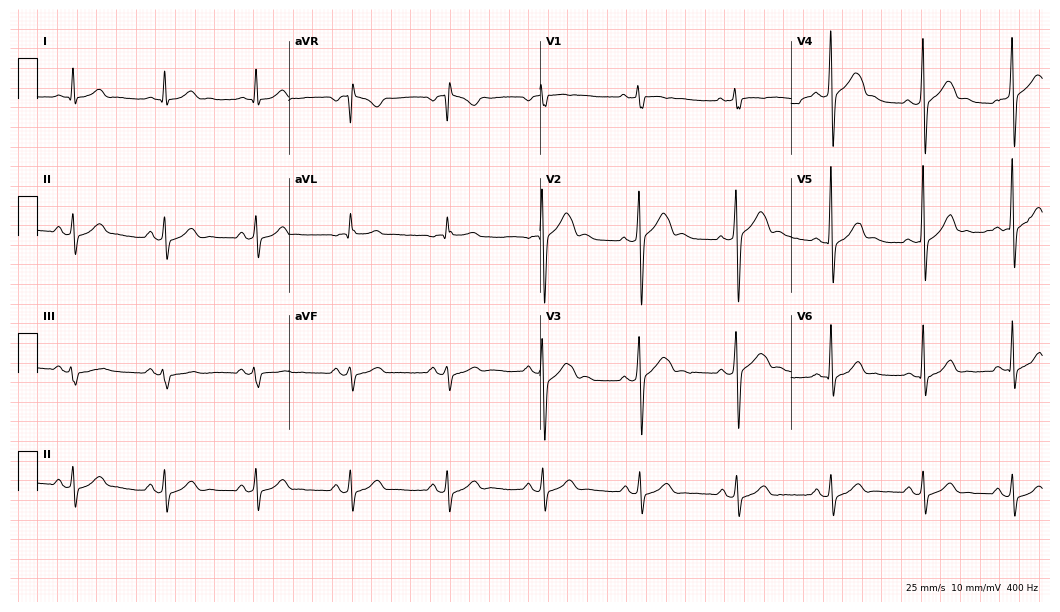
Resting 12-lead electrocardiogram (10.2-second recording at 400 Hz). Patient: a female, 17 years old. None of these six findings is recorded: first-degree AV block, right bundle branch block (RBBB), left bundle branch block (LBBB), sinus bradycardia, atrial fibrillation (AF), sinus tachycardia. Other findings, if any, are not listed.